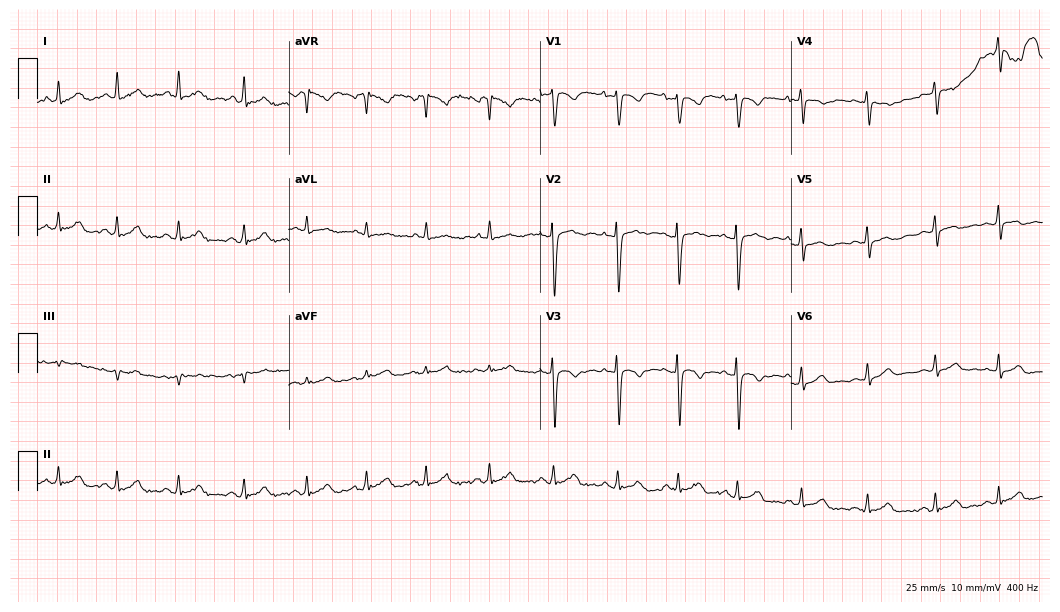
12-lead ECG from a male, 18 years old. Recorded interpretation: within normal limits.